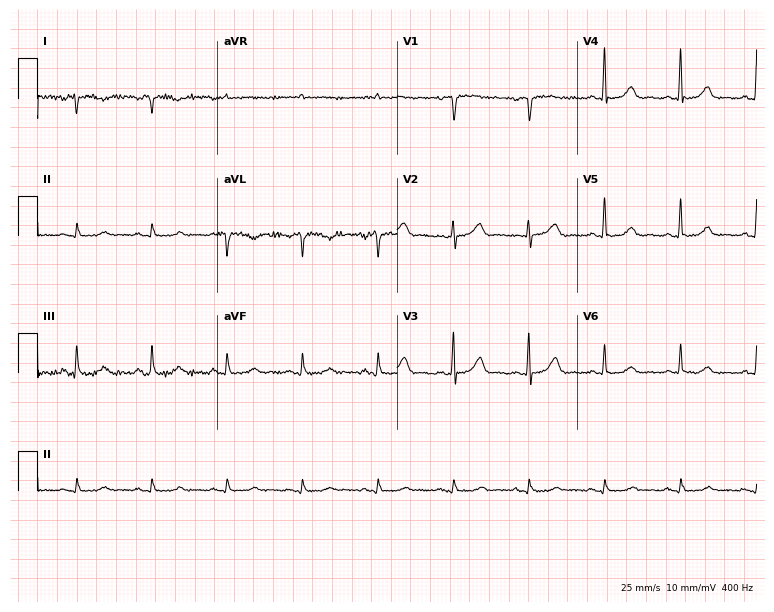
12-lead ECG (7.3-second recording at 400 Hz) from a female, 46 years old. Screened for six findings — first-degree AV block, right bundle branch block, left bundle branch block, sinus bradycardia, atrial fibrillation, sinus tachycardia — none is recorded.